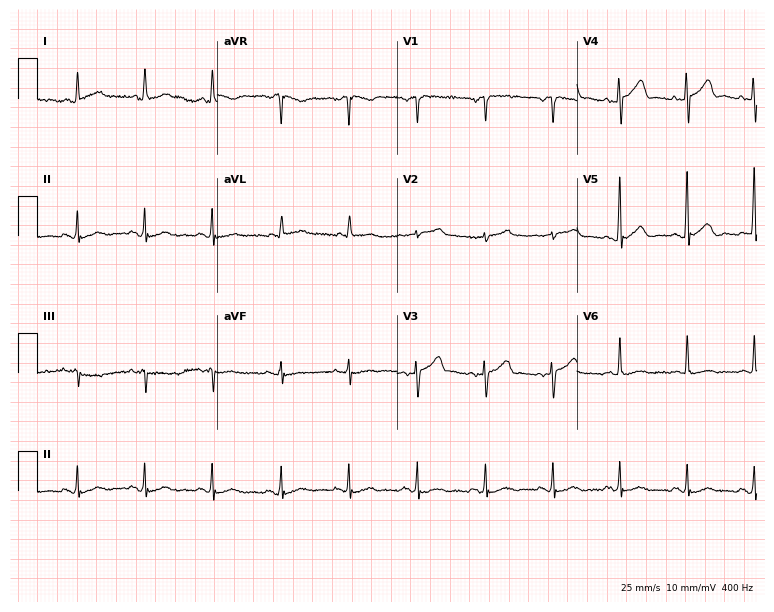
12-lead ECG from a man, 69 years old (7.3-second recording at 400 Hz). No first-degree AV block, right bundle branch block, left bundle branch block, sinus bradycardia, atrial fibrillation or sinus tachycardia recorded for this tracing.